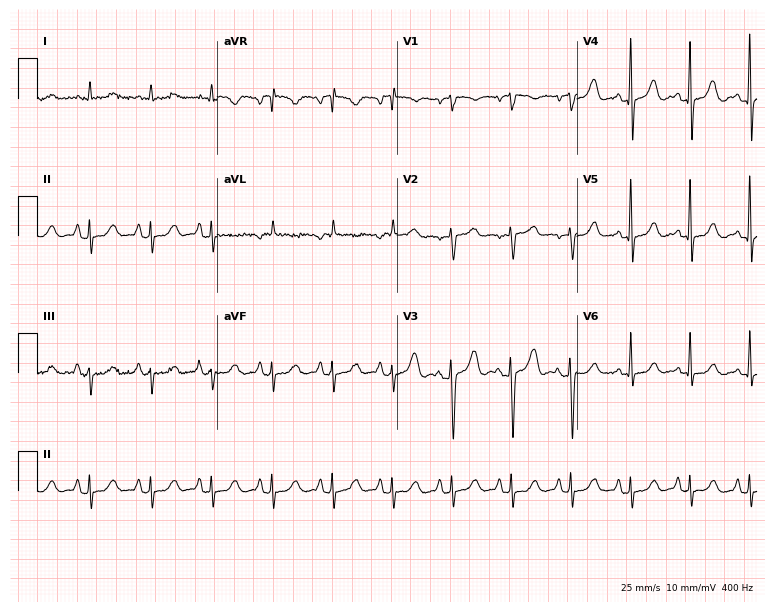
Electrocardiogram, a 74-year-old female patient. Of the six screened findings (first-degree AV block, right bundle branch block, left bundle branch block, sinus bradycardia, atrial fibrillation, sinus tachycardia), none is recorded.